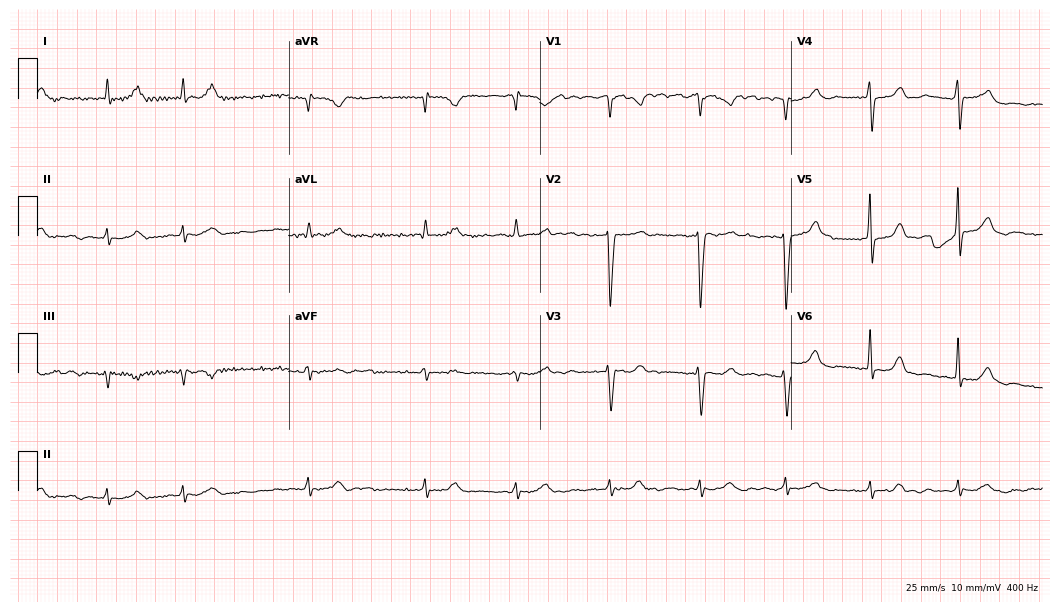
Electrocardiogram, a 63-year-old man. Interpretation includes atrial fibrillation.